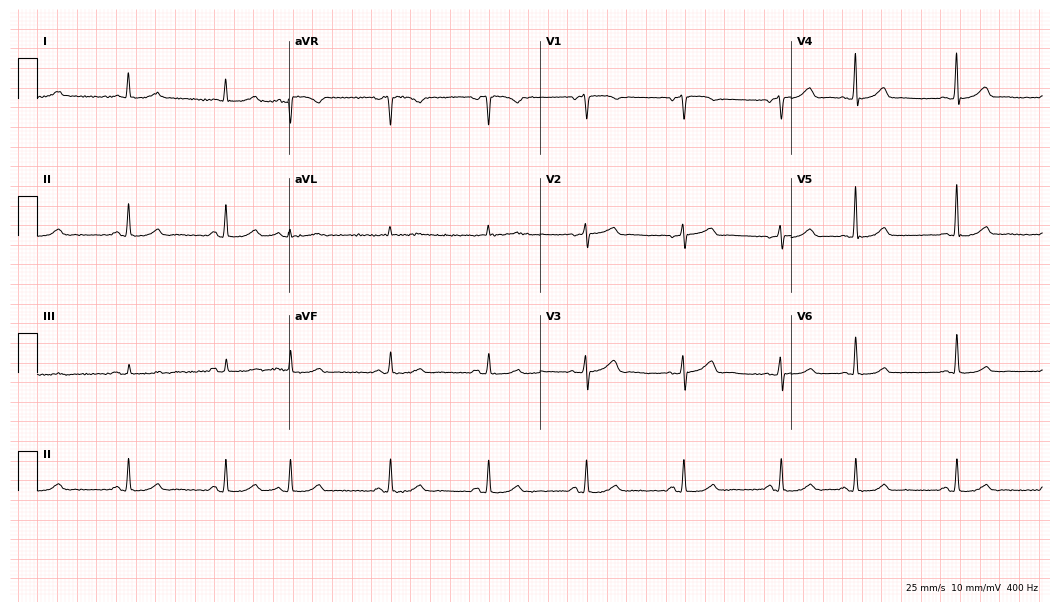
Resting 12-lead electrocardiogram (10.2-second recording at 400 Hz). Patient: an 81-year-old man. None of these six findings is recorded: first-degree AV block, right bundle branch block, left bundle branch block, sinus bradycardia, atrial fibrillation, sinus tachycardia.